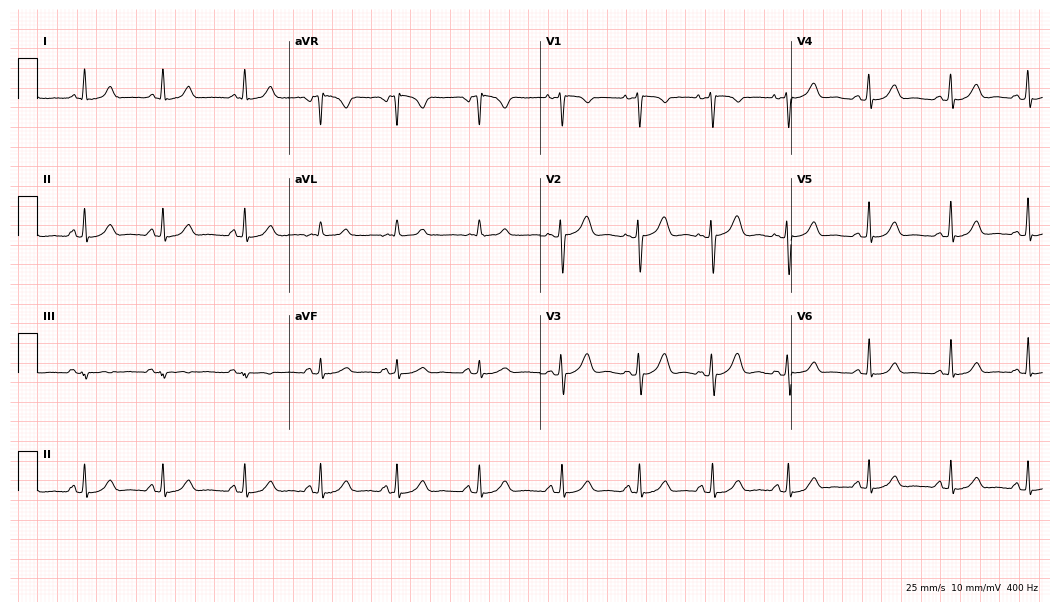
Standard 12-lead ECG recorded from a female, 21 years old. Read as a normal ECG.